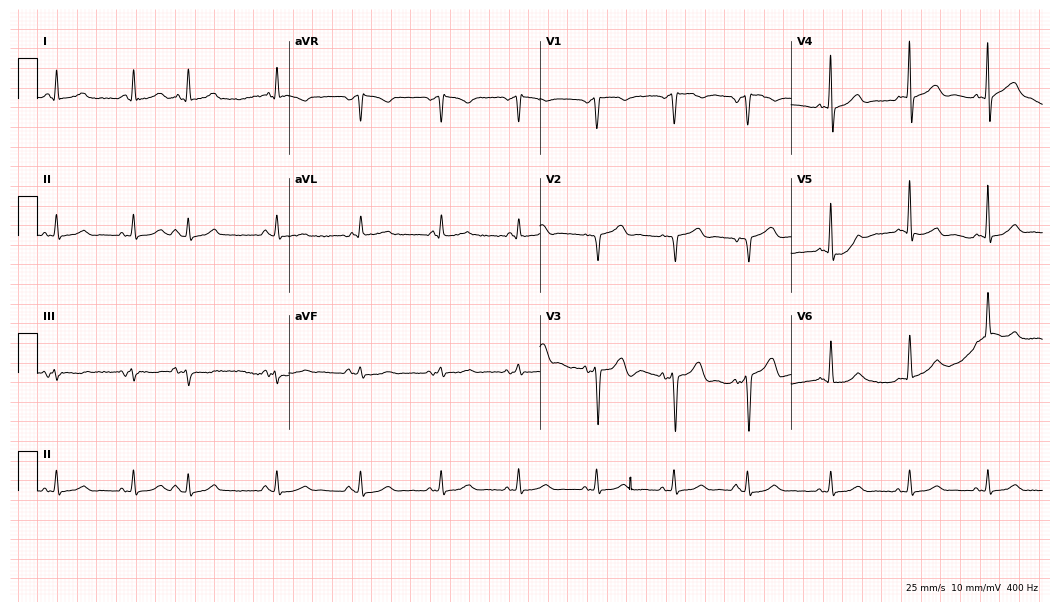
12-lead ECG (10.2-second recording at 400 Hz) from a 60-year-old male. Screened for six findings — first-degree AV block, right bundle branch block, left bundle branch block, sinus bradycardia, atrial fibrillation, sinus tachycardia — none is recorded.